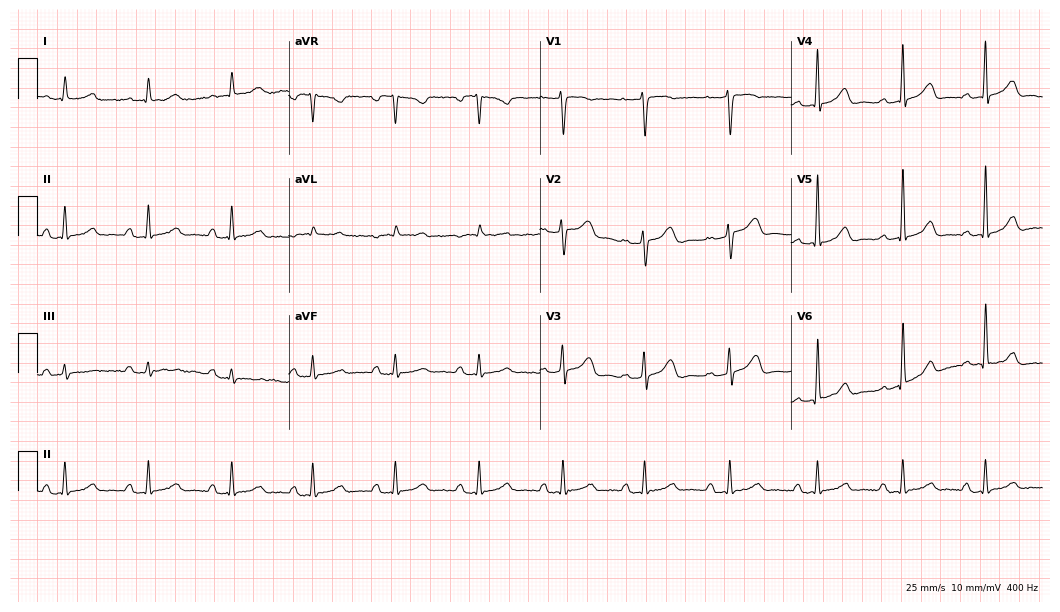
Electrocardiogram (10.2-second recording at 400 Hz), a 57-year-old woman. Interpretation includes first-degree AV block.